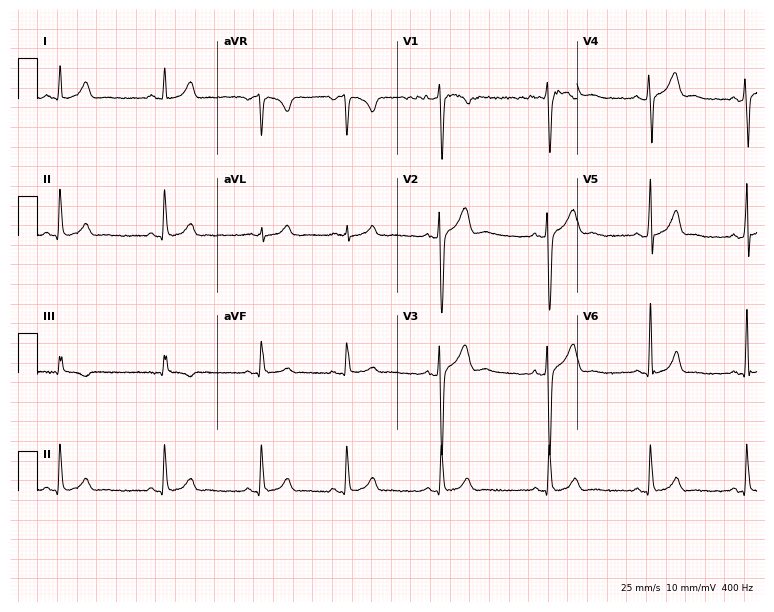
12-lead ECG from a male, 22 years old (7.3-second recording at 400 Hz). Recorded interpretation: within normal limits.